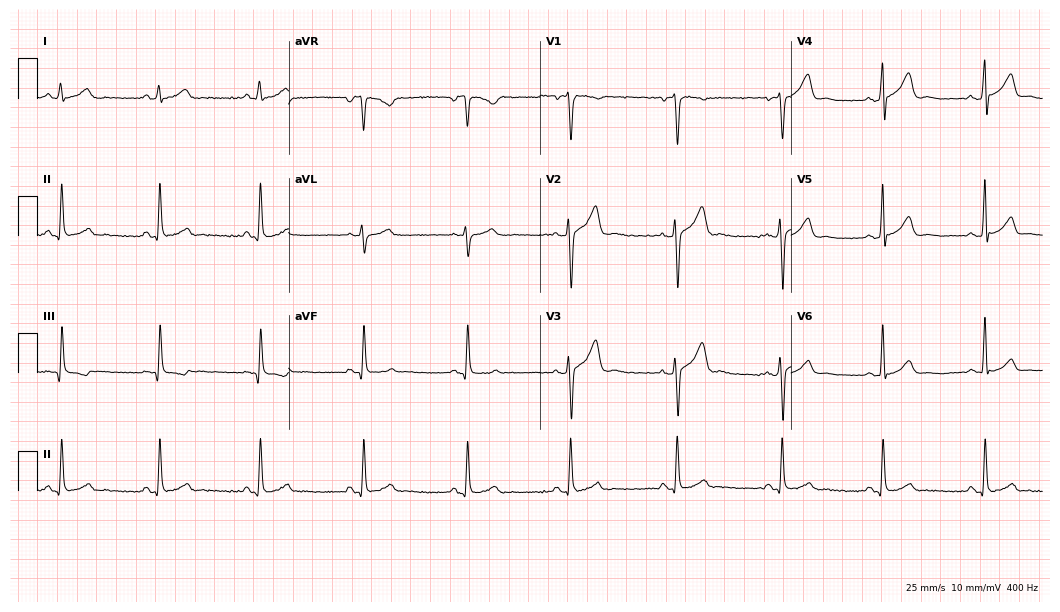
Standard 12-lead ECG recorded from a 37-year-old male. Read as a normal ECG.